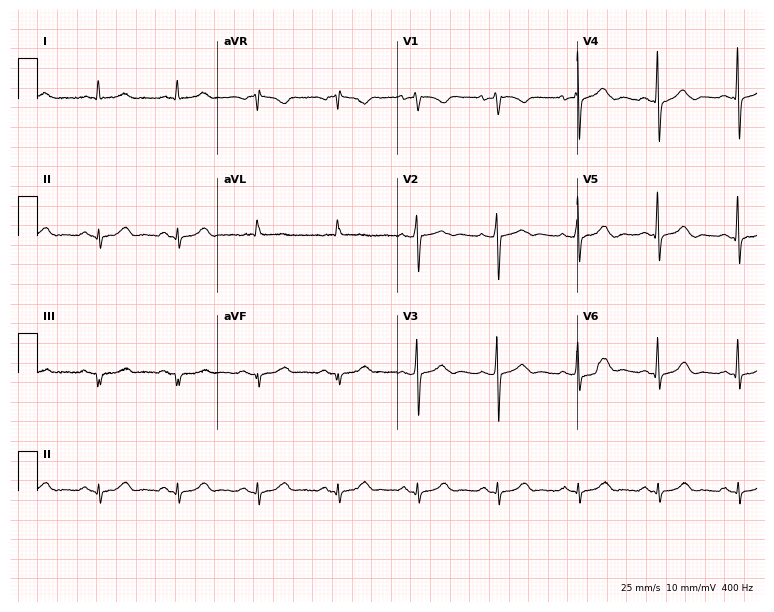
Standard 12-lead ECG recorded from a woman, 83 years old (7.3-second recording at 400 Hz). None of these six findings is recorded: first-degree AV block, right bundle branch block, left bundle branch block, sinus bradycardia, atrial fibrillation, sinus tachycardia. Findings outside these six are not listed.